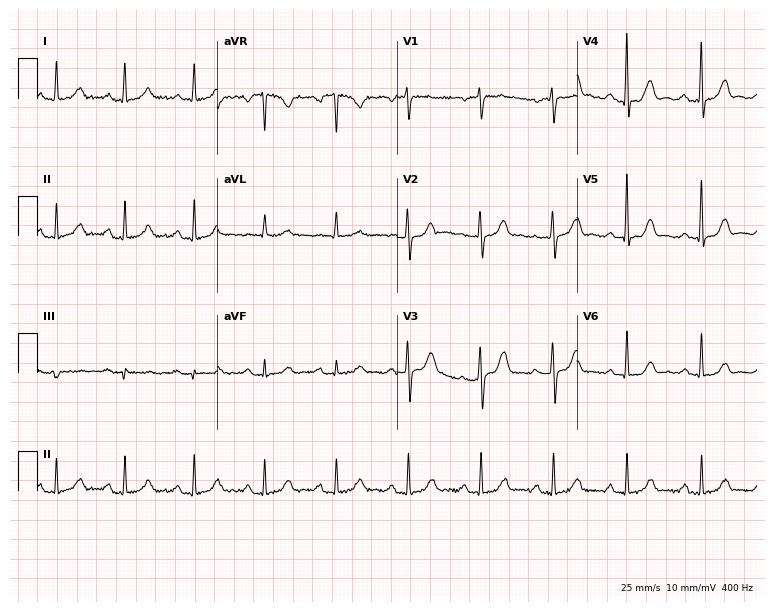
Electrocardiogram, a 57-year-old woman. Overall reading on record: normal ECG.